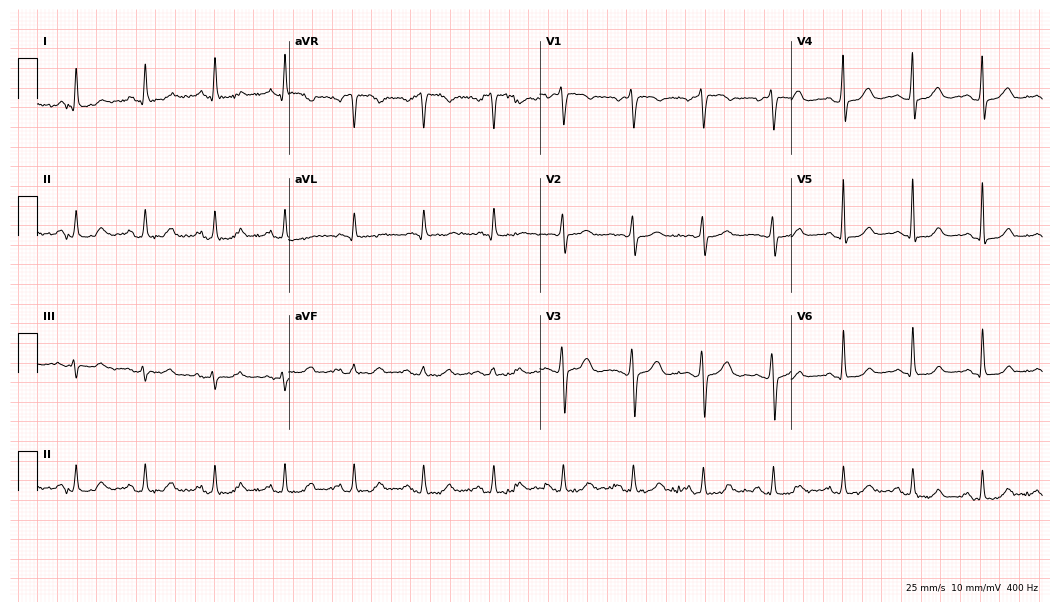
Standard 12-lead ECG recorded from a female patient, 47 years old (10.2-second recording at 400 Hz). Read as a normal ECG.